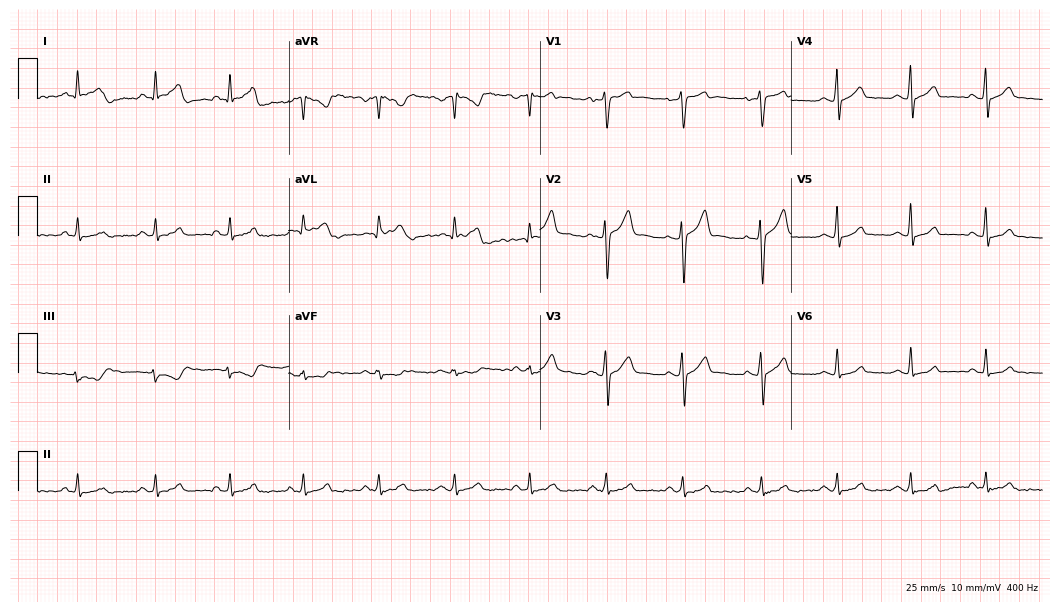
Resting 12-lead electrocardiogram (10.2-second recording at 400 Hz). Patient: a 33-year-old male. Read as a normal ECG.